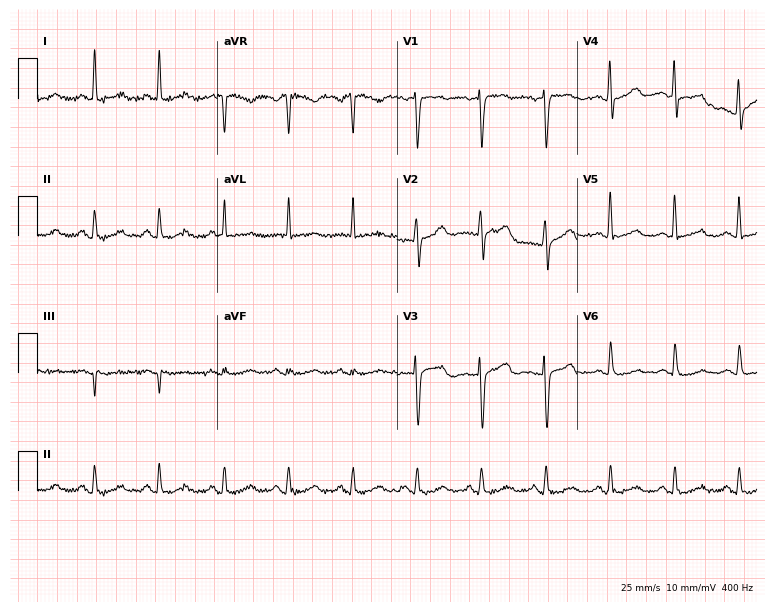
Resting 12-lead electrocardiogram. Patient: a 60-year-old female. Read as a normal ECG.